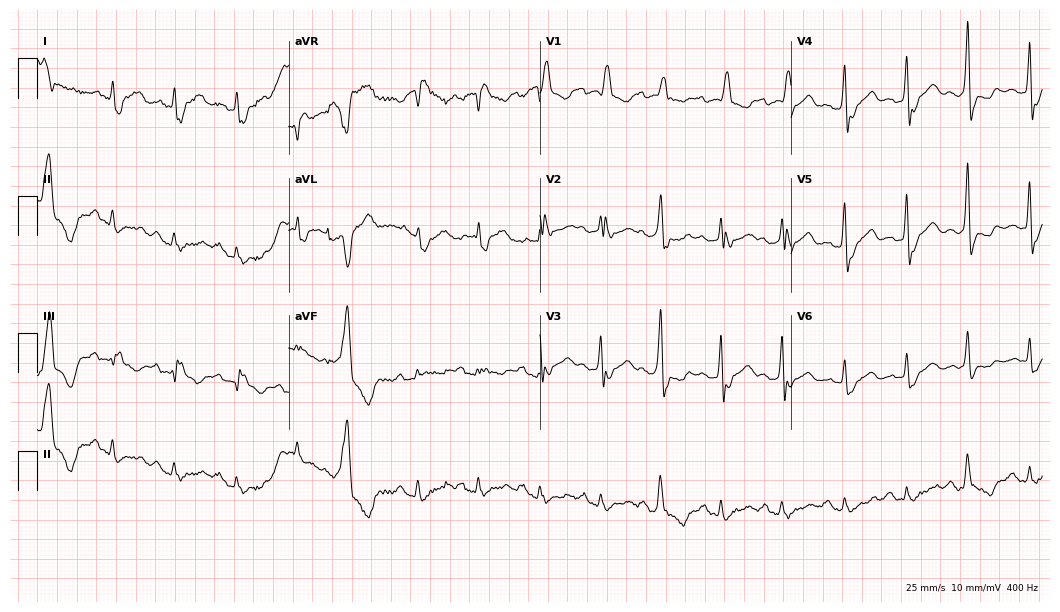
12-lead ECG (10.2-second recording at 400 Hz) from a male patient, 58 years old. Findings include right bundle branch block.